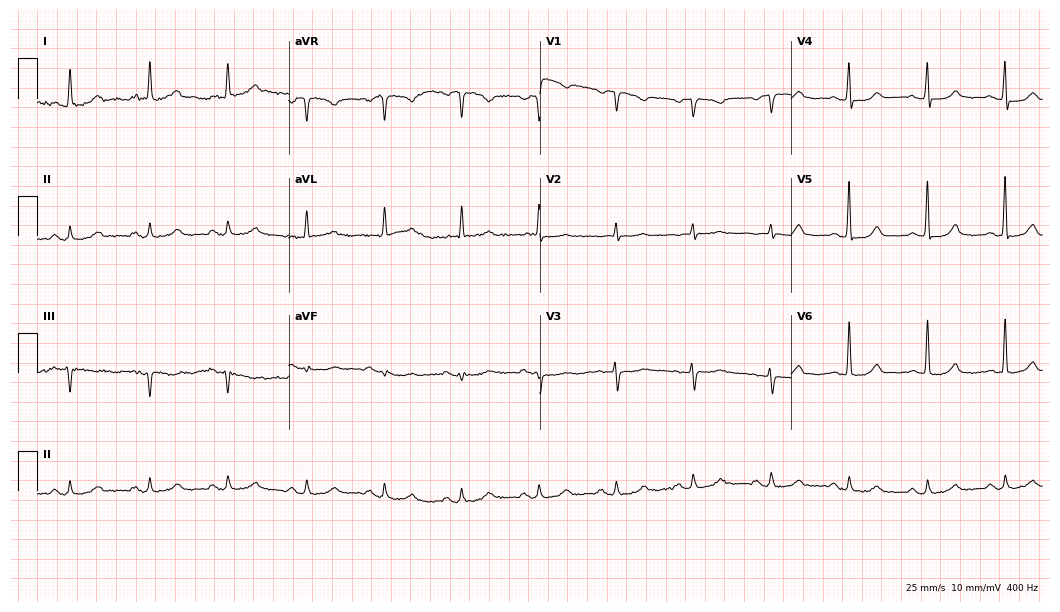
12-lead ECG from a female, 42 years old. Recorded interpretation: within normal limits.